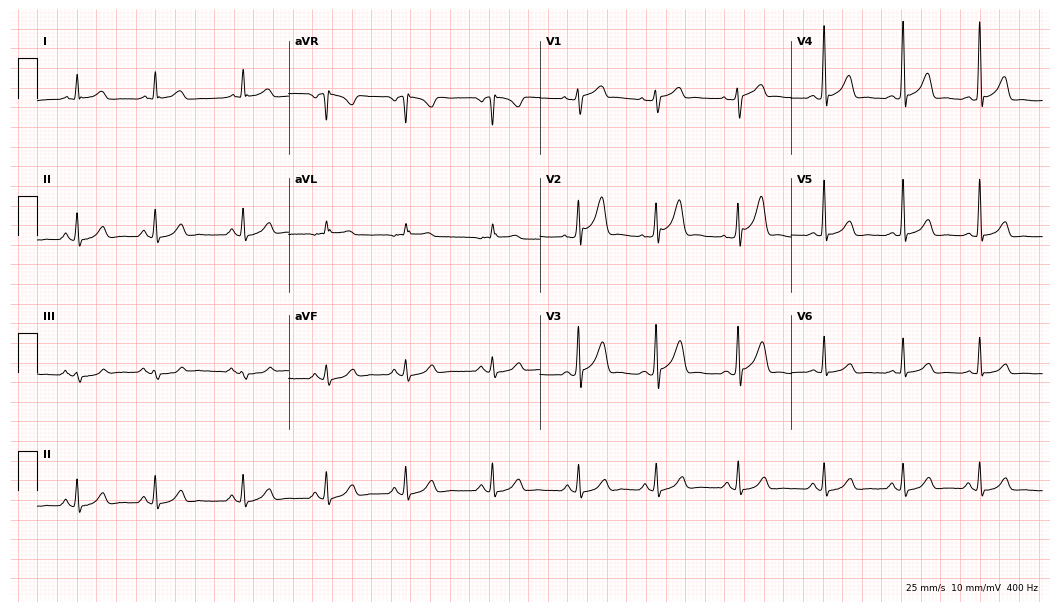
ECG — a man, 61 years old. Screened for six findings — first-degree AV block, right bundle branch block, left bundle branch block, sinus bradycardia, atrial fibrillation, sinus tachycardia — none is recorded.